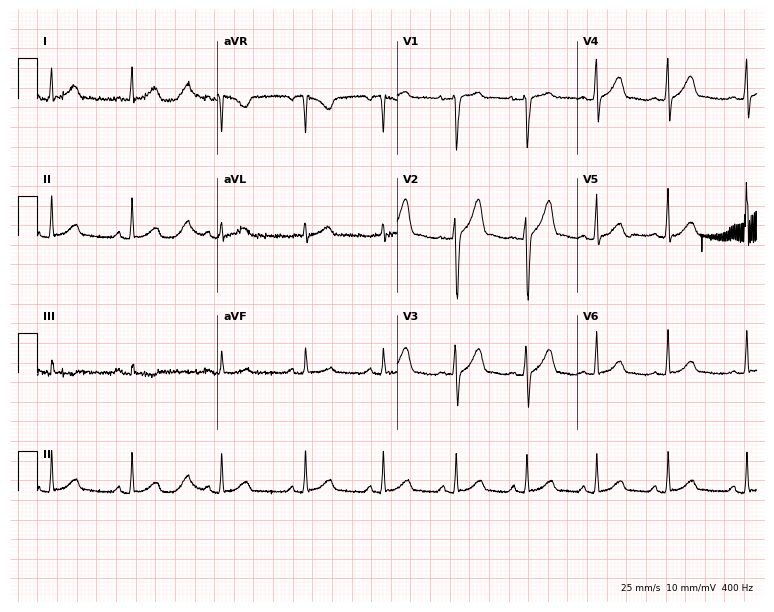
Electrocardiogram, a male patient, 42 years old. Of the six screened findings (first-degree AV block, right bundle branch block, left bundle branch block, sinus bradycardia, atrial fibrillation, sinus tachycardia), none is recorded. Only these six findings were labelled.